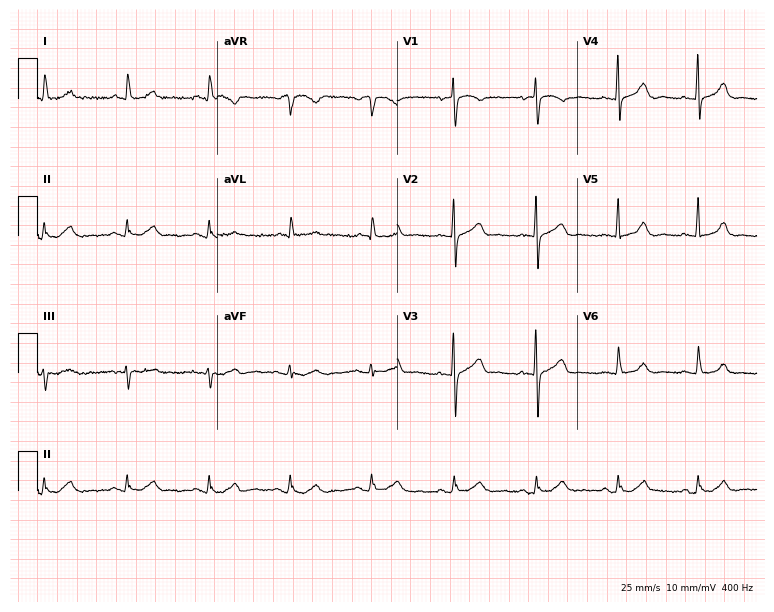
Electrocardiogram, a female, 78 years old. Overall reading on record: normal ECG.